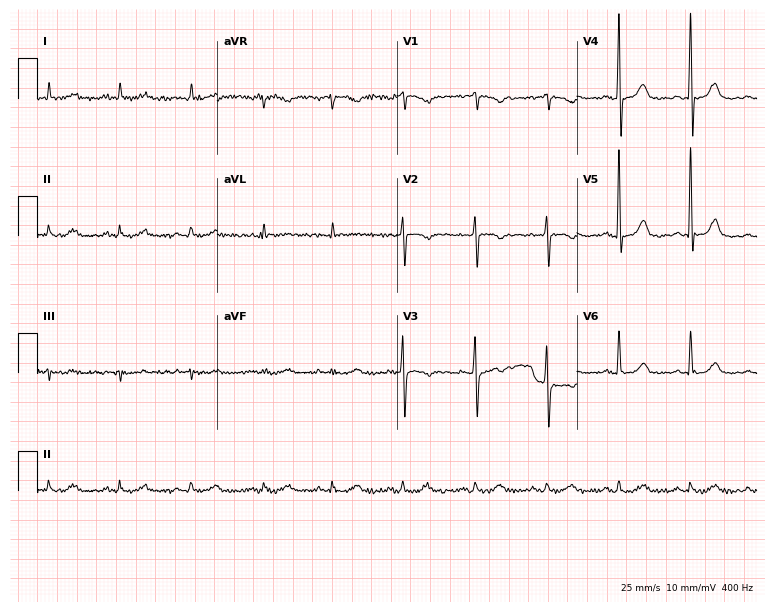
Electrocardiogram, a female patient, 74 years old. Overall reading on record: normal ECG.